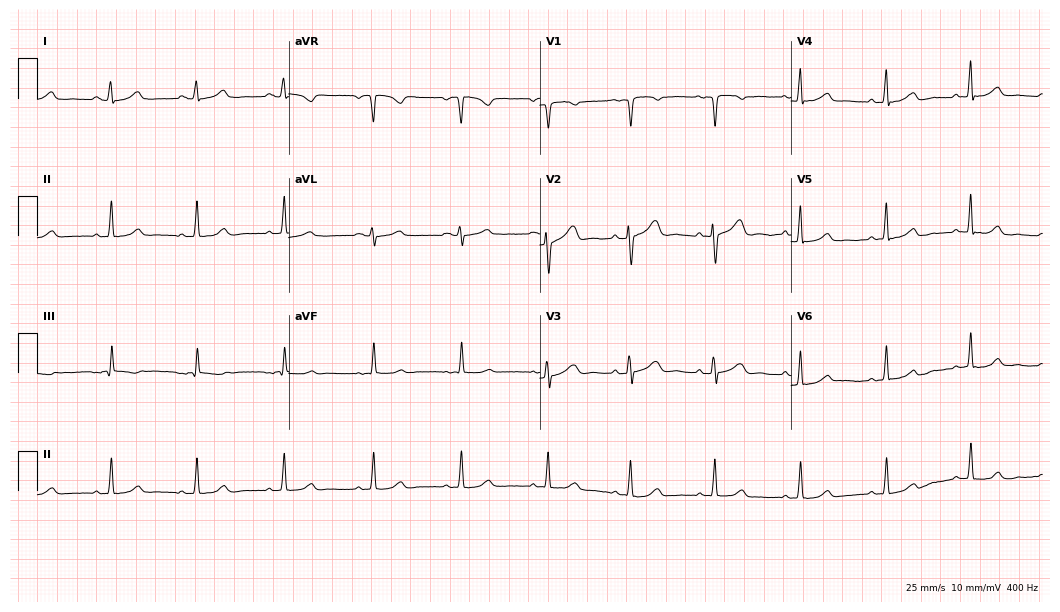
Electrocardiogram (10.2-second recording at 400 Hz), a 43-year-old female patient. Overall reading on record: normal ECG.